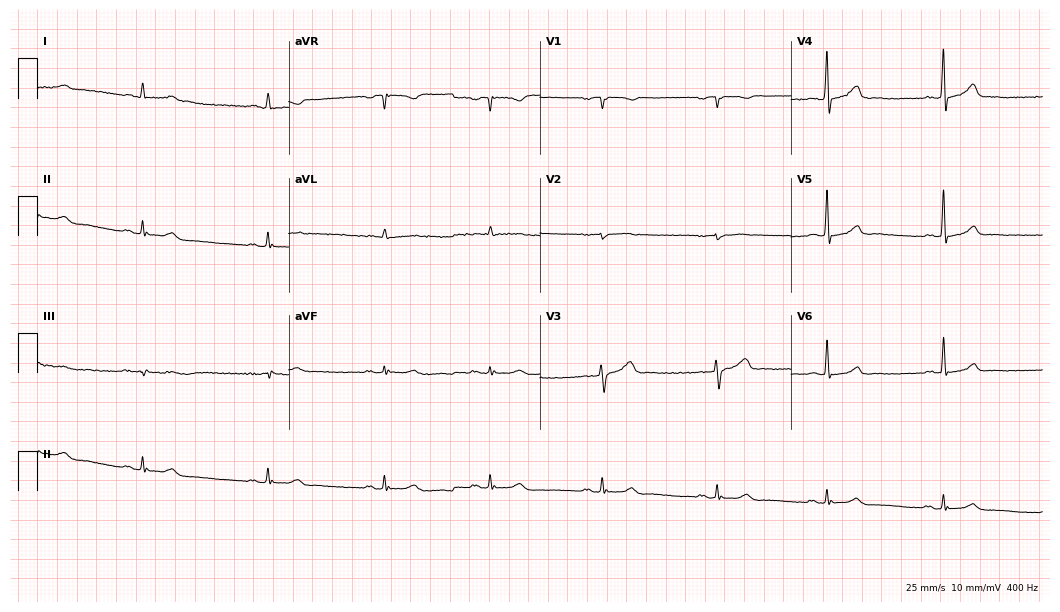
Electrocardiogram (10.2-second recording at 400 Hz), a 59-year-old man. Of the six screened findings (first-degree AV block, right bundle branch block, left bundle branch block, sinus bradycardia, atrial fibrillation, sinus tachycardia), none is recorded.